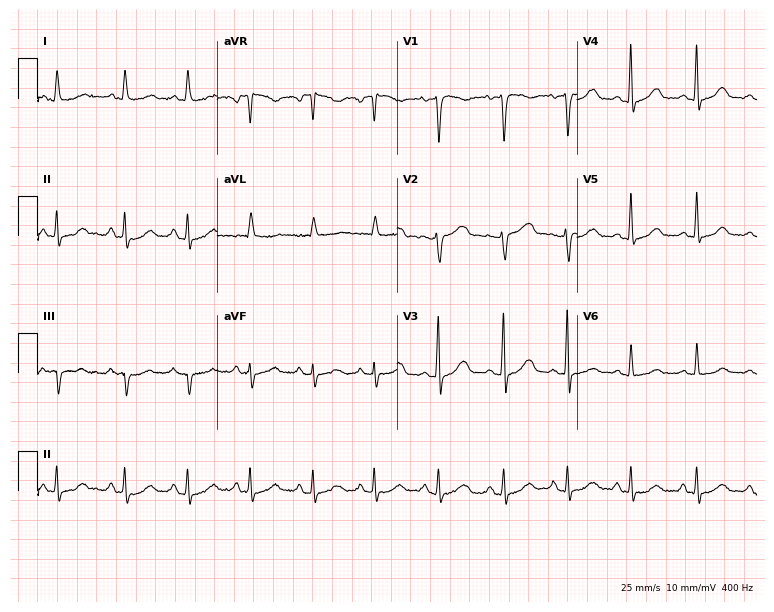
Resting 12-lead electrocardiogram (7.3-second recording at 400 Hz). Patient: a 54-year-old female. Read as a normal ECG.